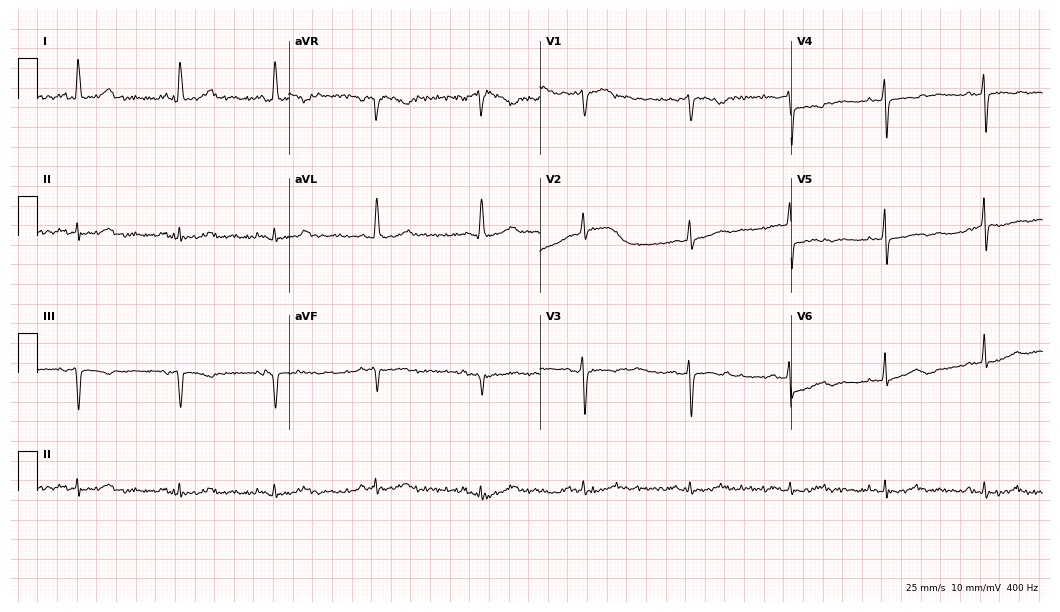
12-lead ECG from a woman, 69 years old. No first-degree AV block, right bundle branch block (RBBB), left bundle branch block (LBBB), sinus bradycardia, atrial fibrillation (AF) or sinus tachycardia recorded for this tracing. Only these six findings were labelled.